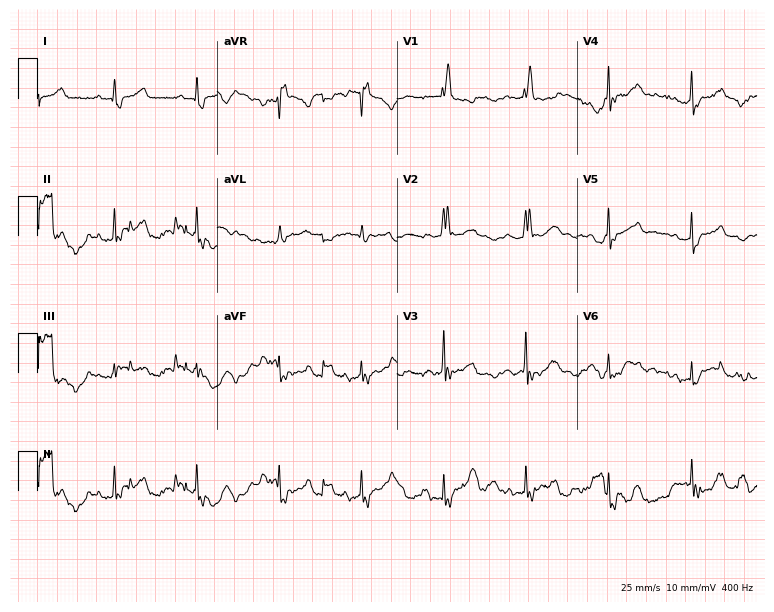
Electrocardiogram (7.3-second recording at 400 Hz), a female patient, 69 years old. Interpretation includes right bundle branch block.